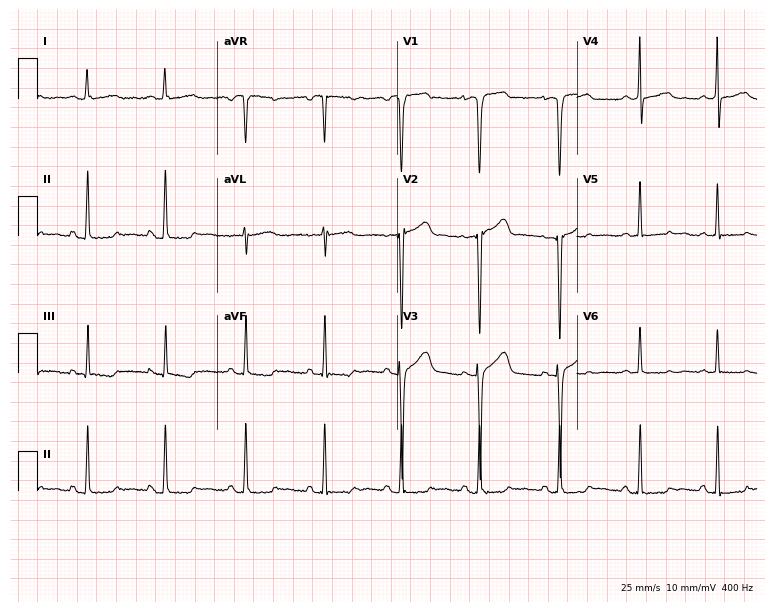
Resting 12-lead electrocardiogram (7.3-second recording at 400 Hz). Patient: a 29-year-old woman. None of these six findings is recorded: first-degree AV block, right bundle branch block (RBBB), left bundle branch block (LBBB), sinus bradycardia, atrial fibrillation (AF), sinus tachycardia. Other findings, if any, are not listed.